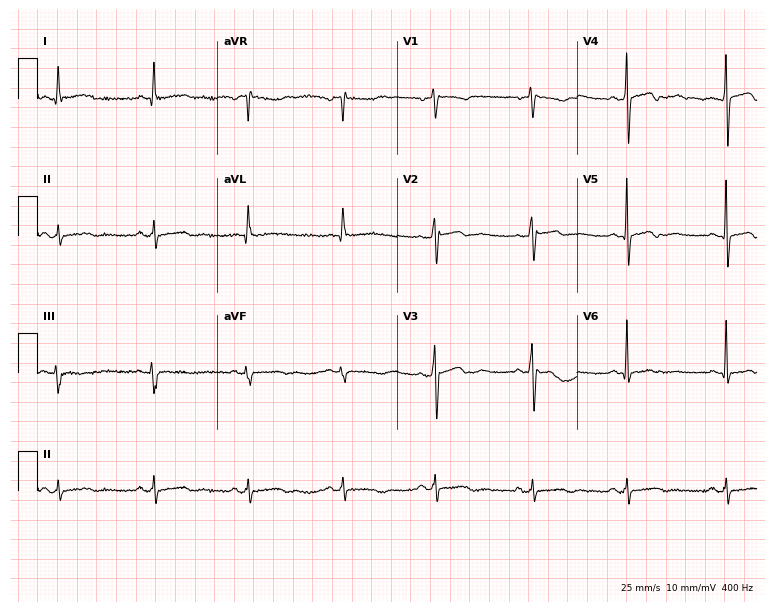
Electrocardiogram, a woman, 47 years old. Overall reading on record: normal ECG.